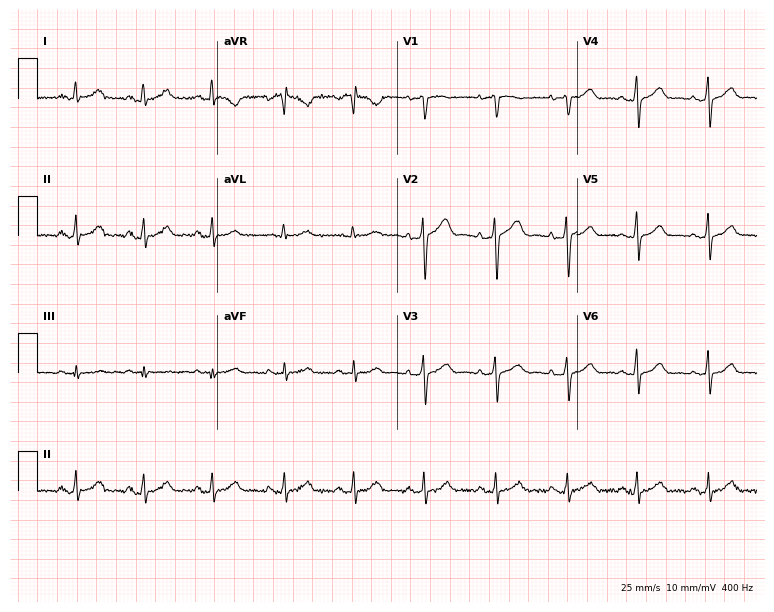
Resting 12-lead electrocardiogram (7.3-second recording at 400 Hz). Patient: a woman, 38 years old. None of these six findings is recorded: first-degree AV block, right bundle branch block, left bundle branch block, sinus bradycardia, atrial fibrillation, sinus tachycardia.